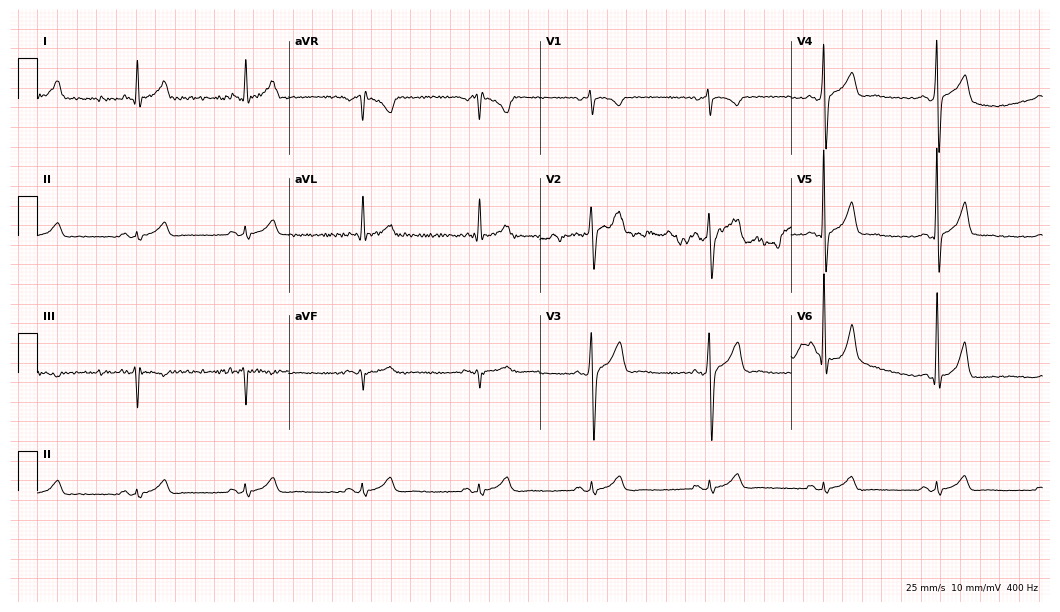
Resting 12-lead electrocardiogram (10.2-second recording at 400 Hz). Patient: a 49-year-old male. Read as a normal ECG.